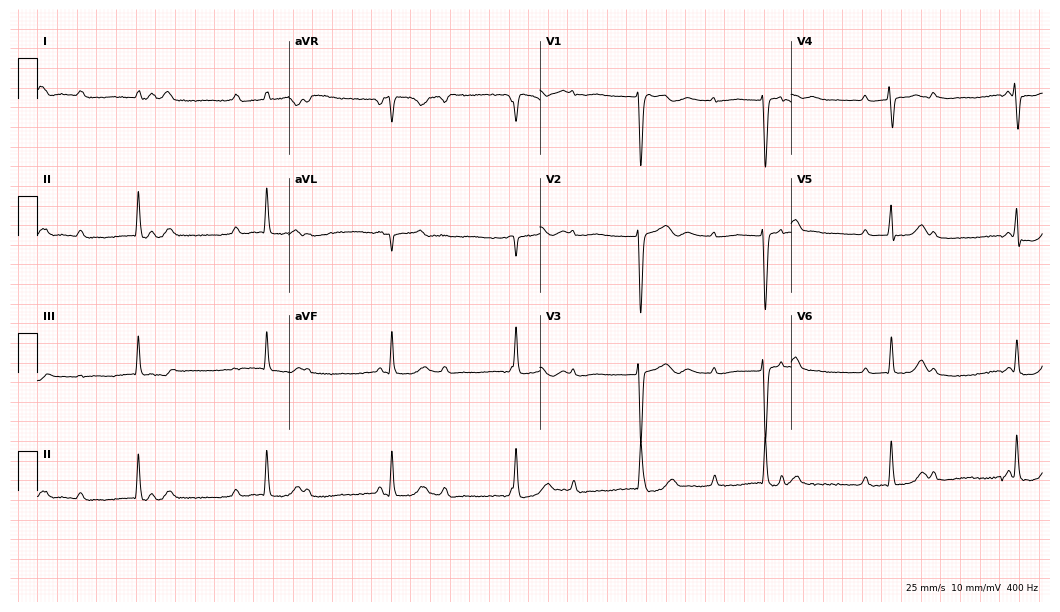
12-lead ECG from a 23-year-old female patient. Shows first-degree AV block.